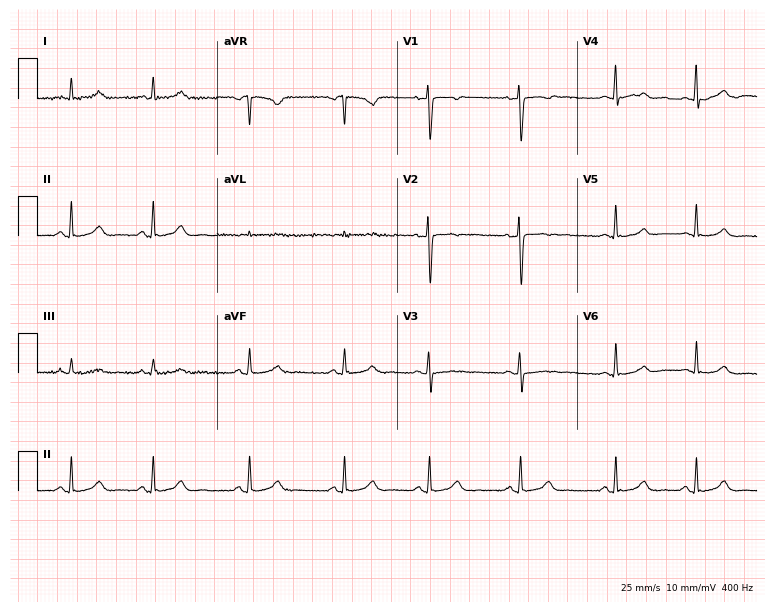
12-lead ECG (7.3-second recording at 400 Hz) from a 32-year-old woman. Screened for six findings — first-degree AV block, right bundle branch block, left bundle branch block, sinus bradycardia, atrial fibrillation, sinus tachycardia — none is recorded. Only these six findings were labelled.